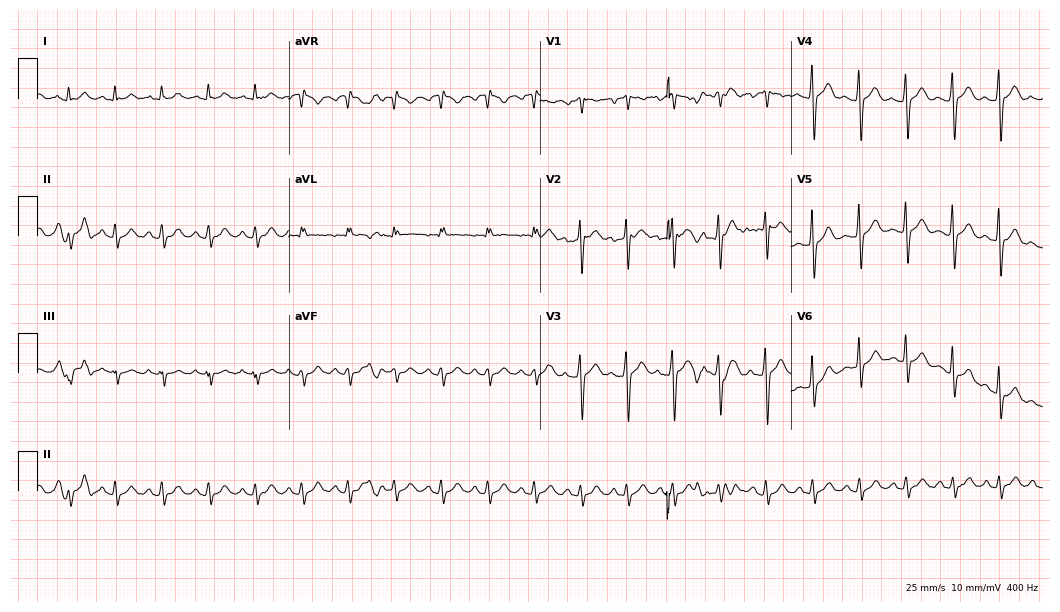
Resting 12-lead electrocardiogram. Patient: a 45-year-old male. The tracing shows sinus tachycardia (a sinus rate of 100 beats per minute or more).